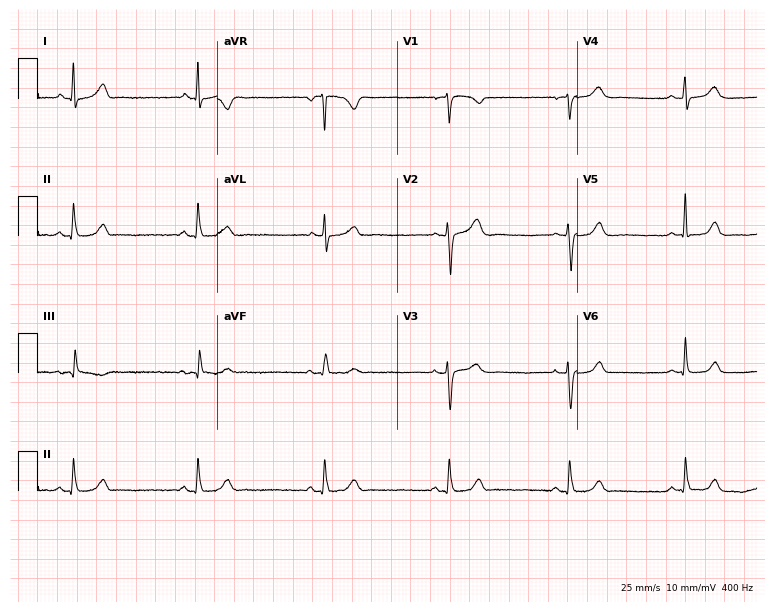
12-lead ECG from a woman, 54 years old (7.3-second recording at 400 Hz). Shows sinus bradycardia (a sinus rate of 50 beats per minute or less).